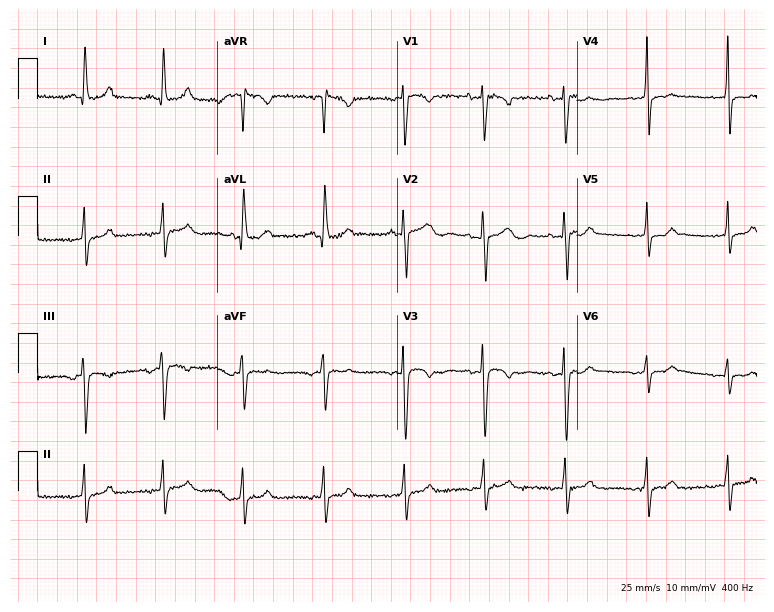
Resting 12-lead electrocardiogram. Patient: a 31-year-old female. Read as a normal ECG.